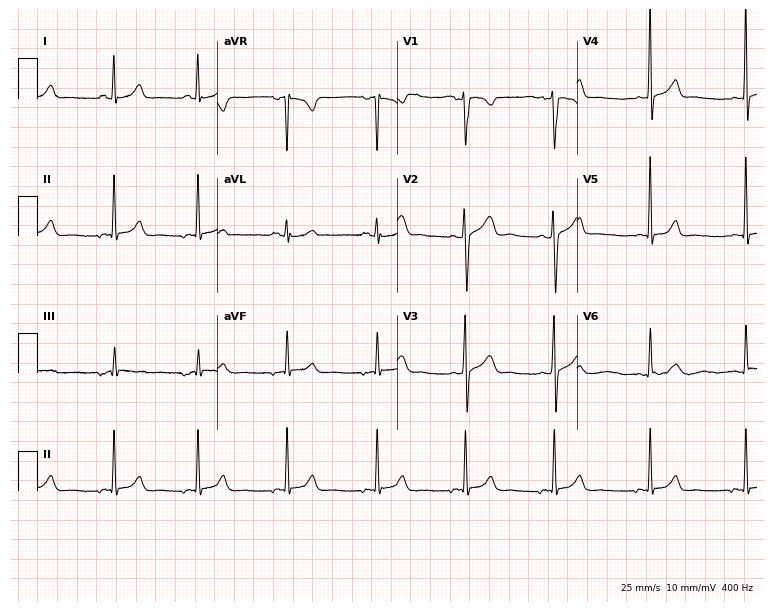
12-lead ECG from a 20-year-old woman (7.3-second recording at 400 Hz). No first-degree AV block, right bundle branch block (RBBB), left bundle branch block (LBBB), sinus bradycardia, atrial fibrillation (AF) or sinus tachycardia recorded for this tracing.